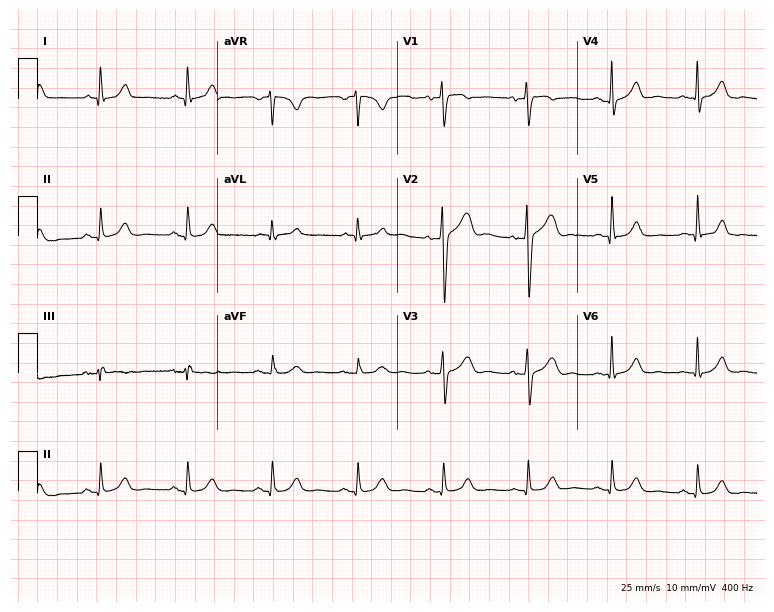
12-lead ECG from a 55-year-old man (7.3-second recording at 400 Hz). No first-degree AV block, right bundle branch block (RBBB), left bundle branch block (LBBB), sinus bradycardia, atrial fibrillation (AF) or sinus tachycardia recorded for this tracing.